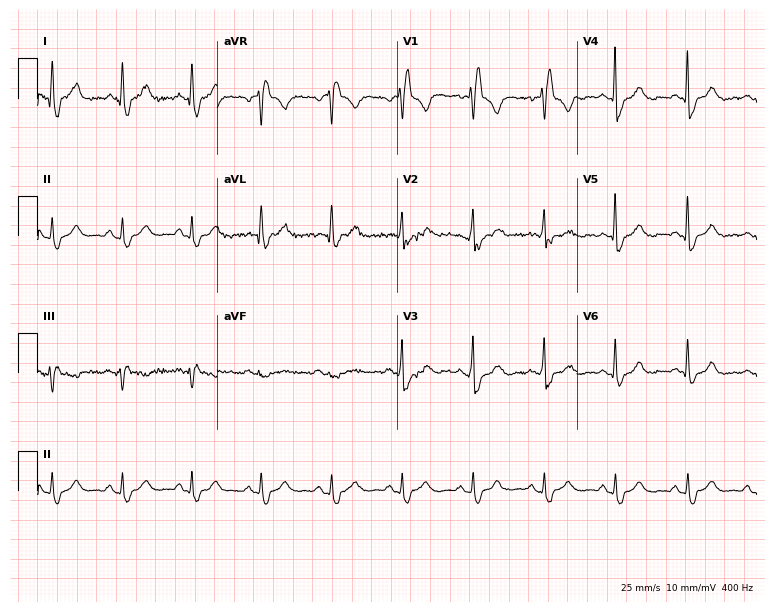
Standard 12-lead ECG recorded from a female, 45 years old (7.3-second recording at 400 Hz). The tracing shows right bundle branch block (RBBB).